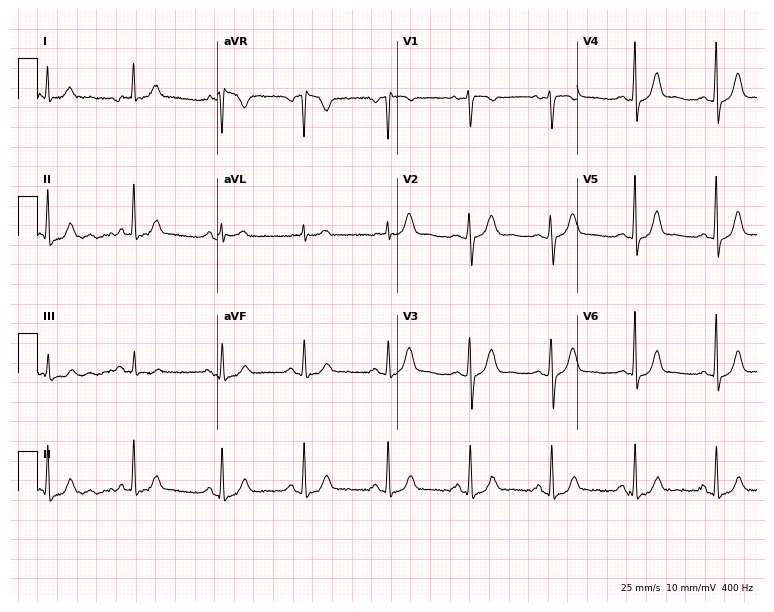
Resting 12-lead electrocardiogram. Patient: a woman, 38 years old. None of these six findings is recorded: first-degree AV block, right bundle branch block, left bundle branch block, sinus bradycardia, atrial fibrillation, sinus tachycardia.